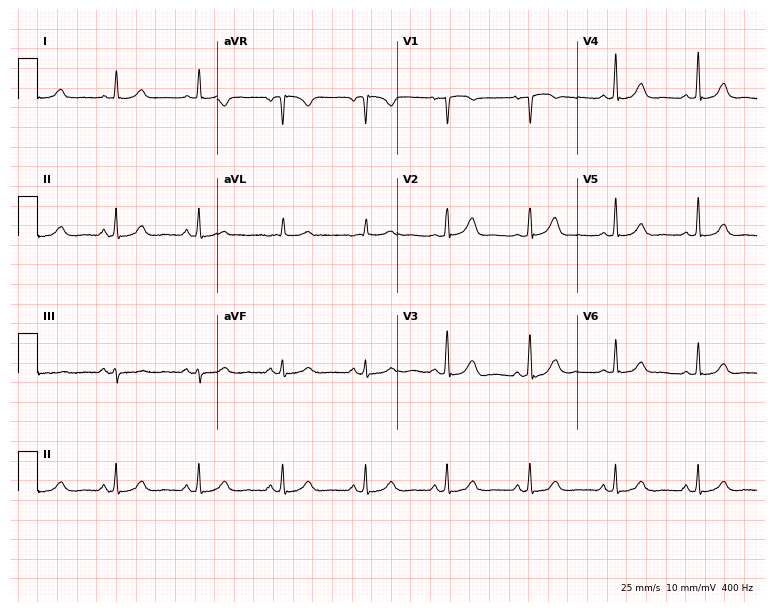
ECG (7.3-second recording at 400 Hz) — a 47-year-old female patient. Labelled as a normal ECG.